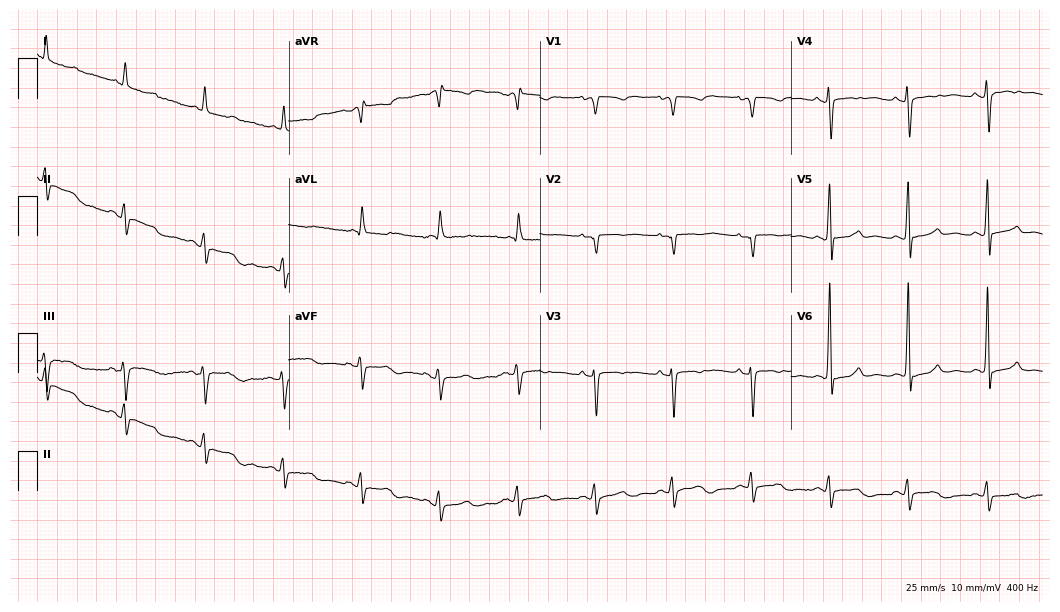
Resting 12-lead electrocardiogram (10.2-second recording at 400 Hz). Patient: a female, 70 years old. None of these six findings is recorded: first-degree AV block, right bundle branch block (RBBB), left bundle branch block (LBBB), sinus bradycardia, atrial fibrillation (AF), sinus tachycardia.